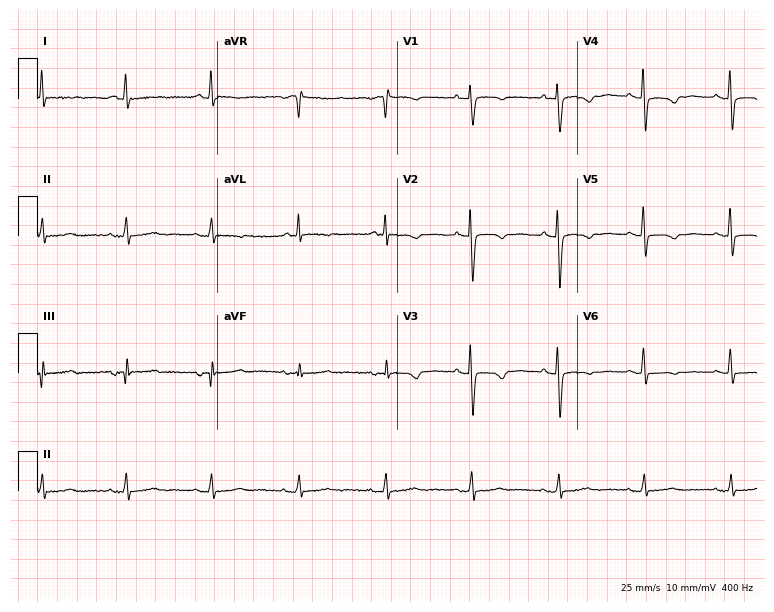
12-lead ECG from an 81-year-old woman. No first-degree AV block, right bundle branch block (RBBB), left bundle branch block (LBBB), sinus bradycardia, atrial fibrillation (AF) or sinus tachycardia recorded for this tracing.